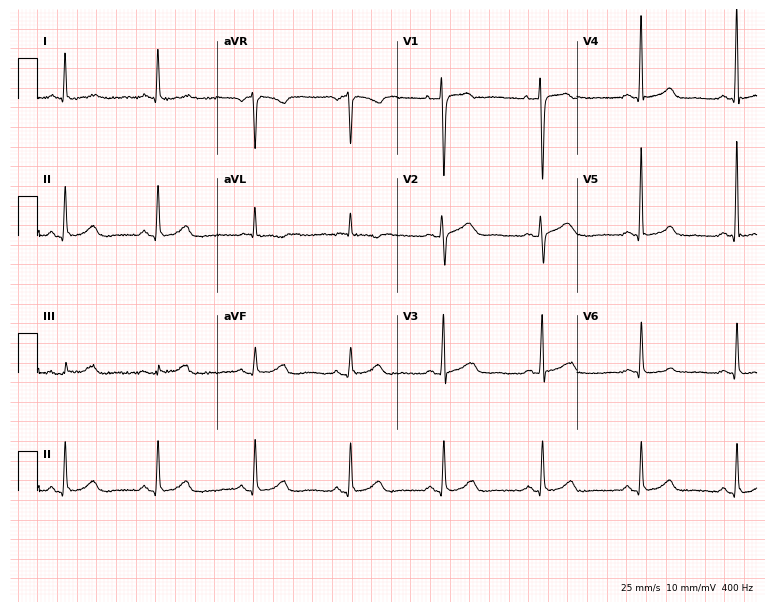
Resting 12-lead electrocardiogram (7.3-second recording at 400 Hz). Patient: a 54-year-old female. None of these six findings is recorded: first-degree AV block, right bundle branch block, left bundle branch block, sinus bradycardia, atrial fibrillation, sinus tachycardia.